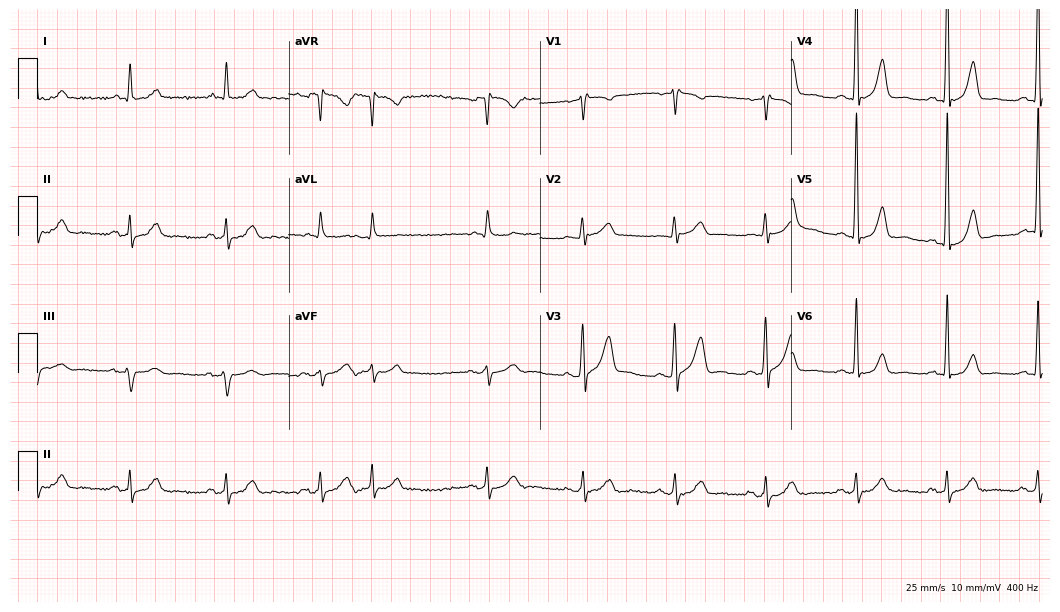
Resting 12-lead electrocardiogram. Patient: a man, 73 years old. Read as a normal ECG.